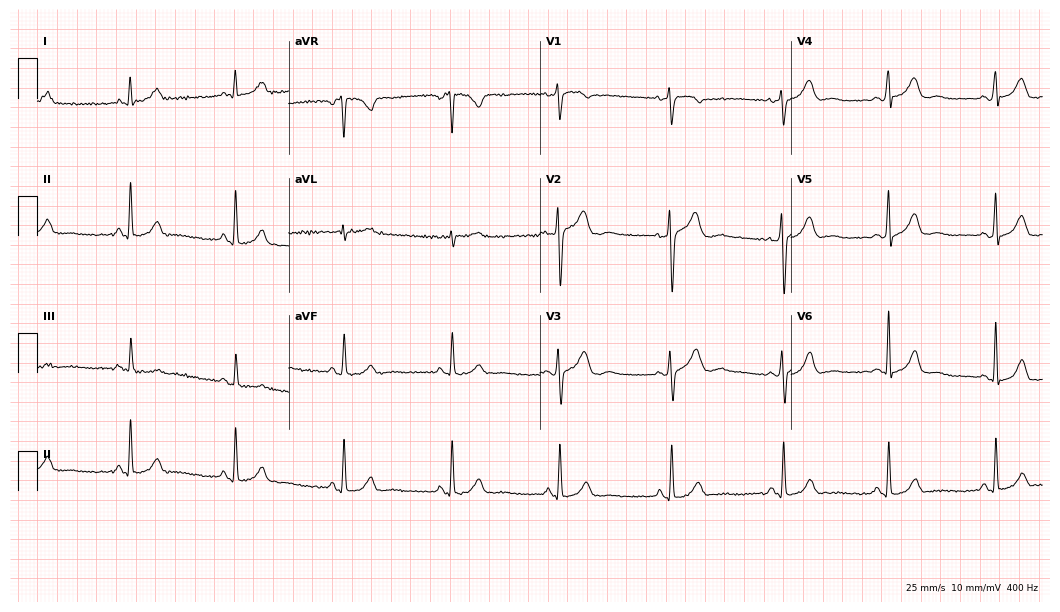
Electrocardiogram, a 45-year-old female. Overall reading on record: normal ECG.